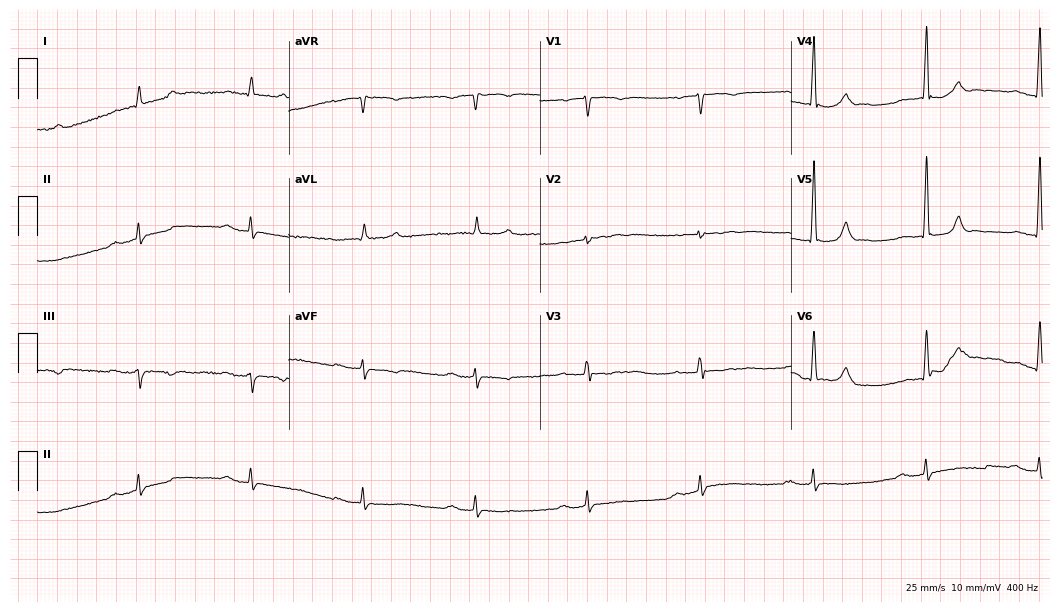
Standard 12-lead ECG recorded from a man, 83 years old (10.2-second recording at 400 Hz). The tracing shows first-degree AV block.